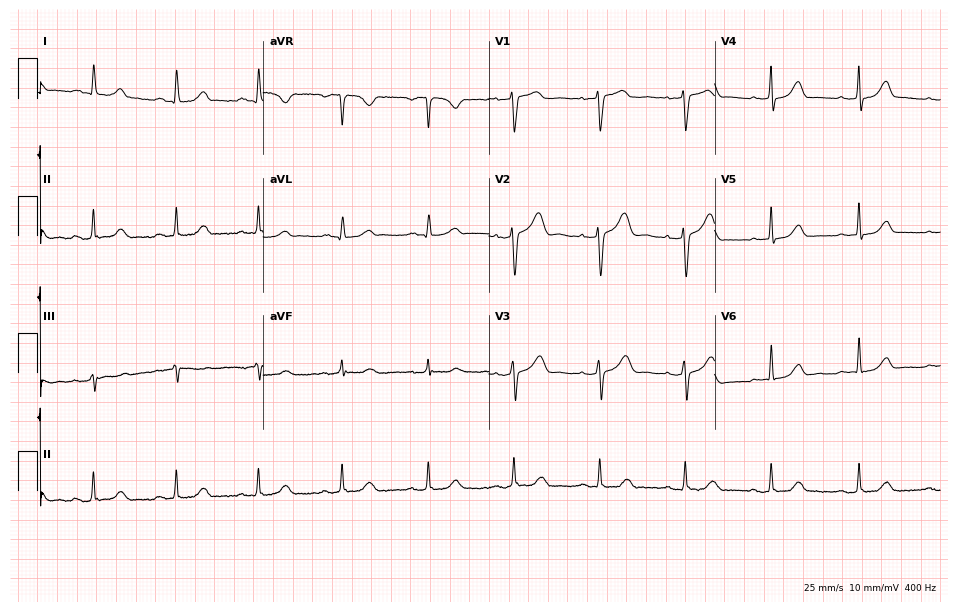
ECG — a female, 44 years old. Labelled as a normal ECG.